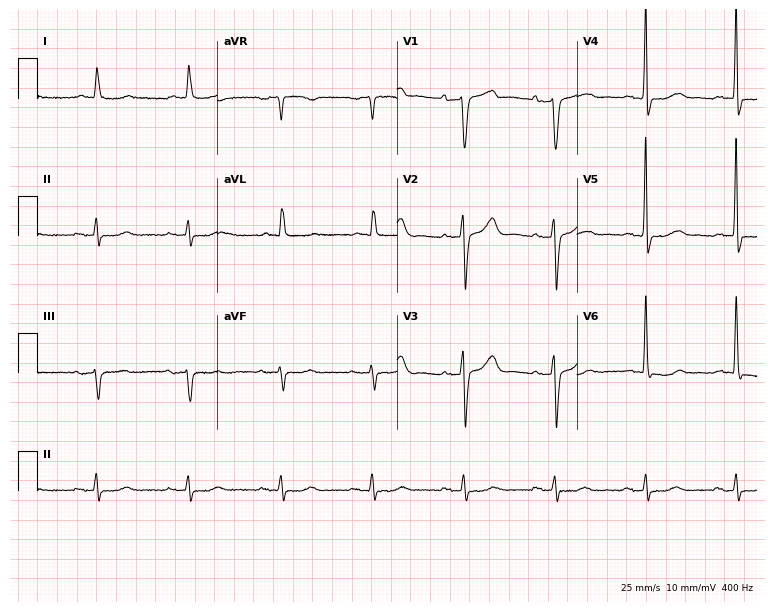
Resting 12-lead electrocardiogram (7.3-second recording at 400 Hz). Patient: a 75-year-old male. None of these six findings is recorded: first-degree AV block, right bundle branch block, left bundle branch block, sinus bradycardia, atrial fibrillation, sinus tachycardia. Only these six findings were labelled.